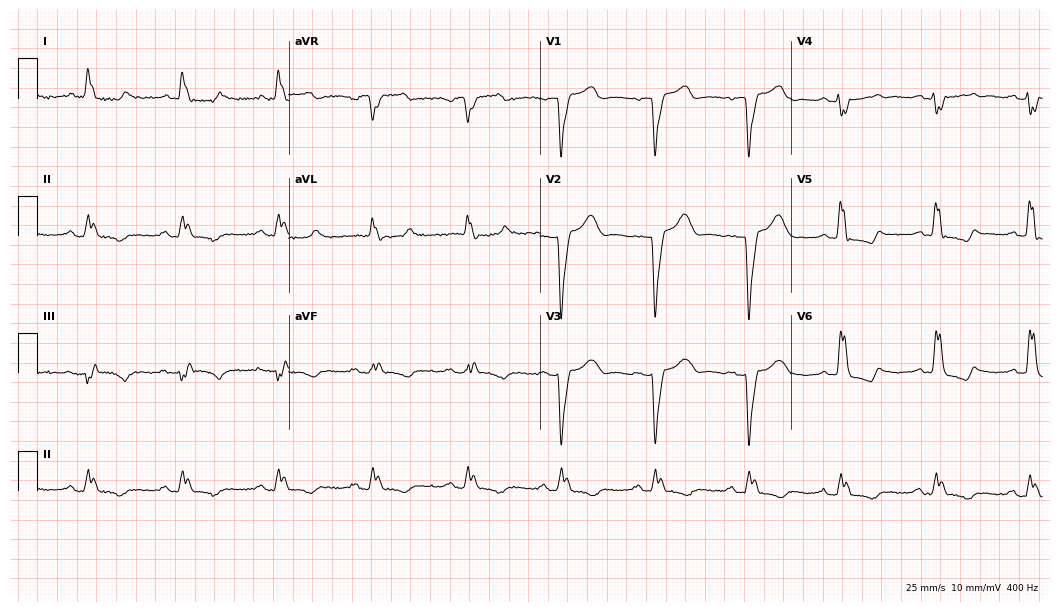
12-lead ECG (10.2-second recording at 400 Hz) from a woman, 84 years old. Findings include left bundle branch block (LBBB).